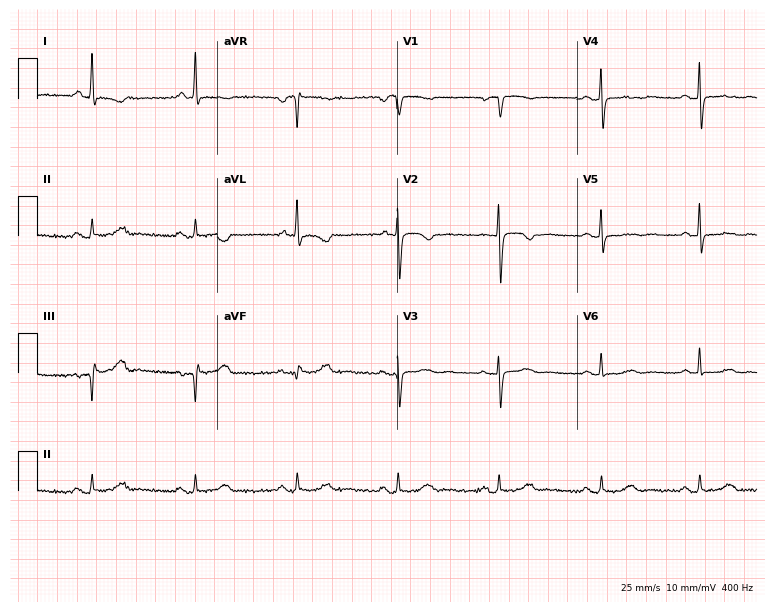
Standard 12-lead ECG recorded from a 72-year-old woman. None of these six findings is recorded: first-degree AV block, right bundle branch block, left bundle branch block, sinus bradycardia, atrial fibrillation, sinus tachycardia.